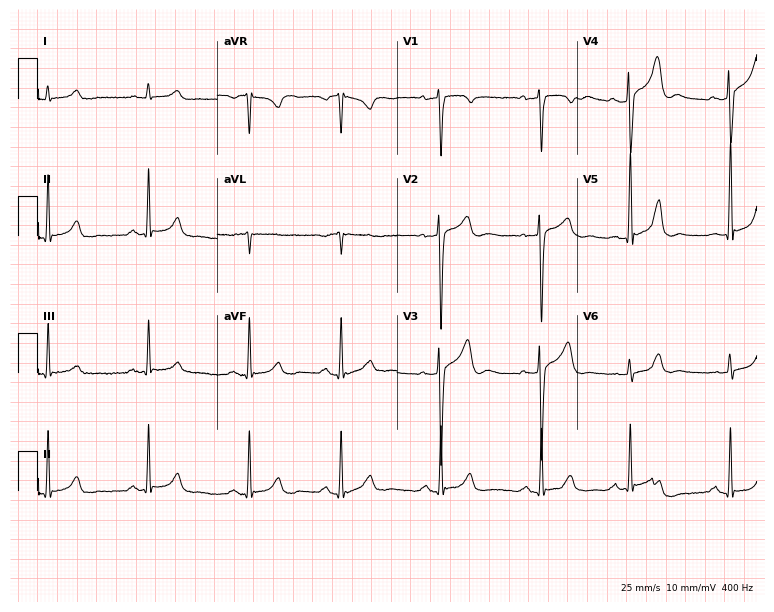
Standard 12-lead ECG recorded from a man, 22 years old. Read as a normal ECG.